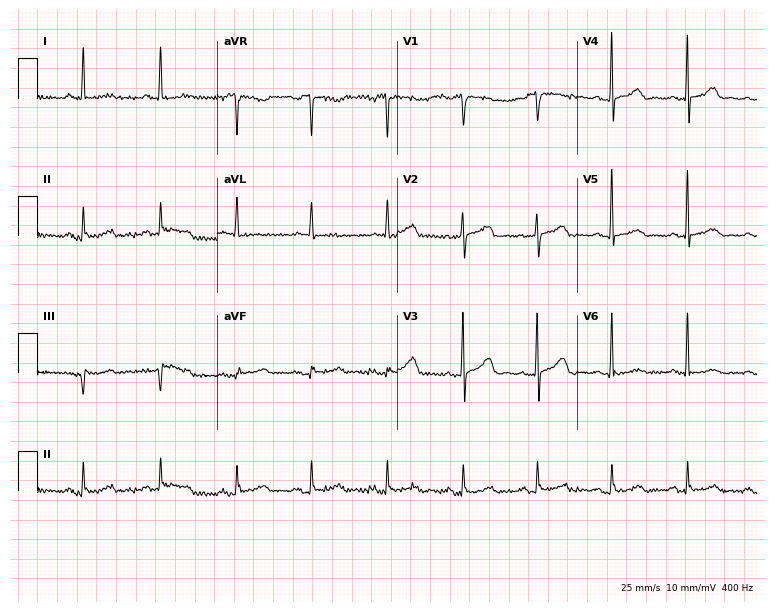
Resting 12-lead electrocardiogram. Patient: a 66-year-old female. None of these six findings is recorded: first-degree AV block, right bundle branch block, left bundle branch block, sinus bradycardia, atrial fibrillation, sinus tachycardia.